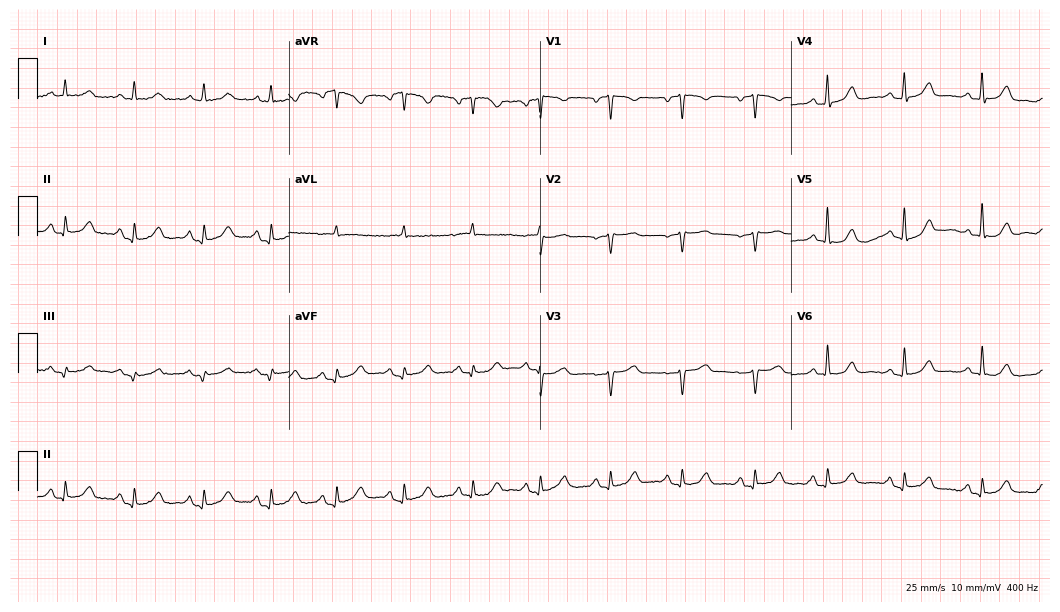
Electrocardiogram (10.2-second recording at 400 Hz), a female patient, 65 years old. Overall reading on record: normal ECG.